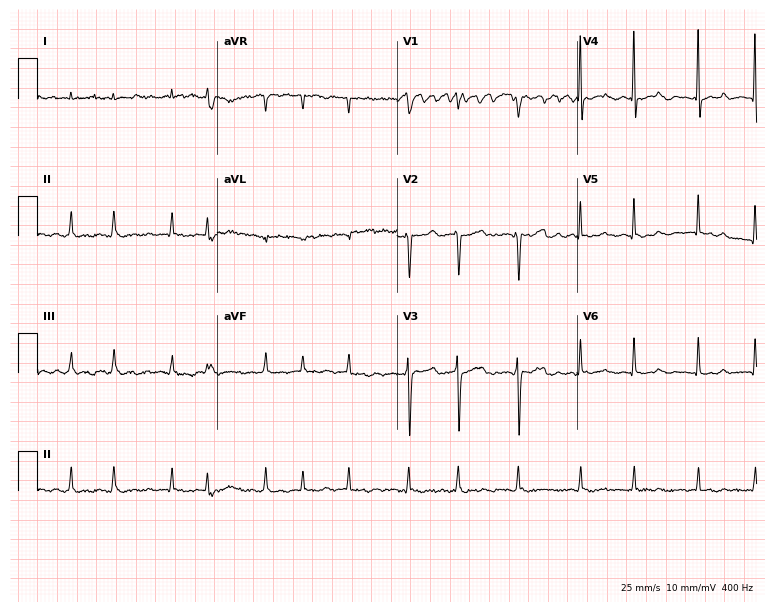
12-lead ECG from a woman, 83 years old. Shows atrial fibrillation (AF).